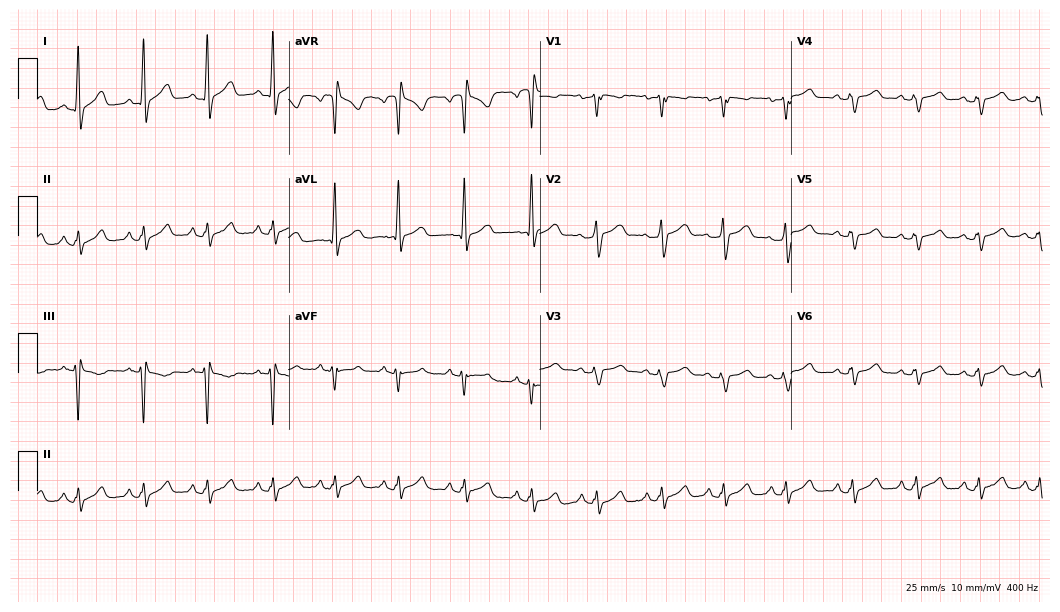
Electrocardiogram (10.2-second recording at 400 Hz), a female, 42 years old. Of the six screened findings (first-degree AV block, right bundle branch block (RBBB), left bundle branch block (LBBB), sinus bradycardia, atrial fibrillation (AF), sinus tachycardia), none is recorded. Findings outside these six are not listed.